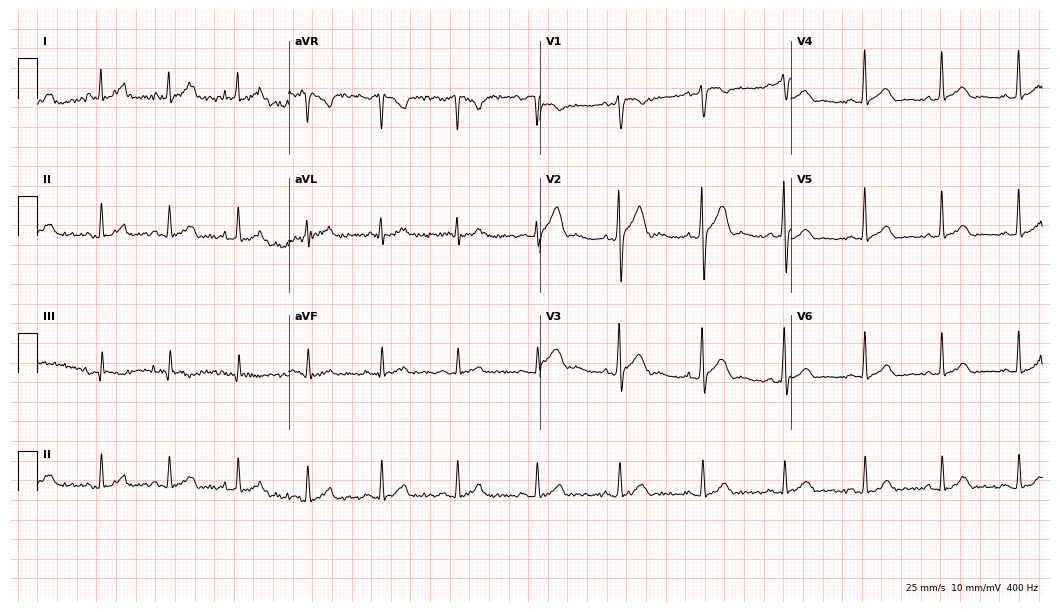
ECG (10.2-second recording at 400 Hz) — a 28-year-old male. Screened for six findings — first-degree AV block, right bundle branch block, left bundle branch block, sinus bradycardia, atrial fibrillation, sinus tachycardia — none is recorded.